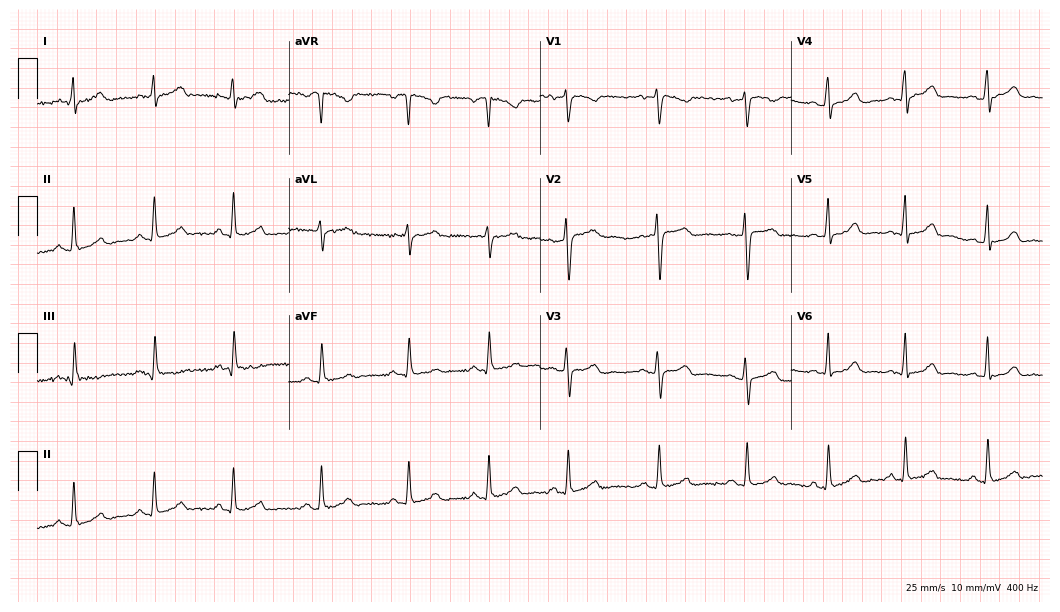
ECG (10.2-second recording at 400 Hz) — a woman, 37 years old. Labelled as a normal ECG.